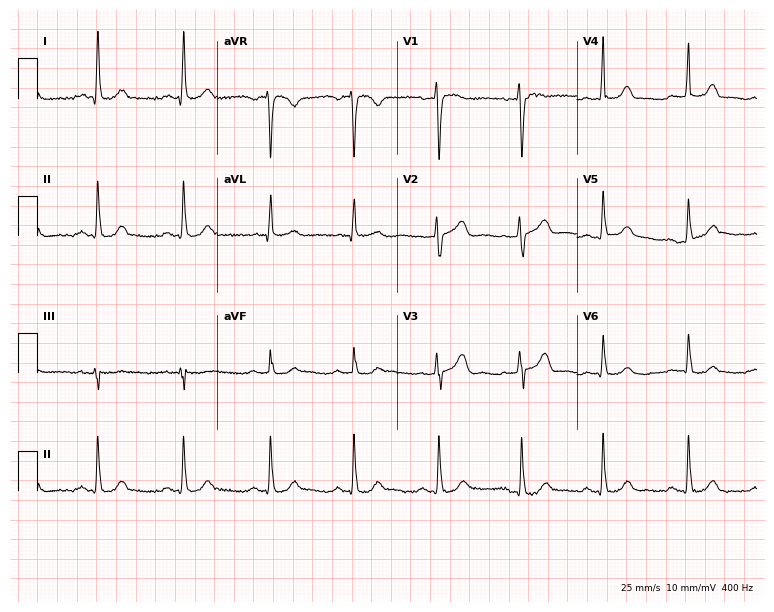
Electrocardiogram (7.3-second recording at 400 Hz), a 41-year-old woman. Overall reading on record: normal ECG.